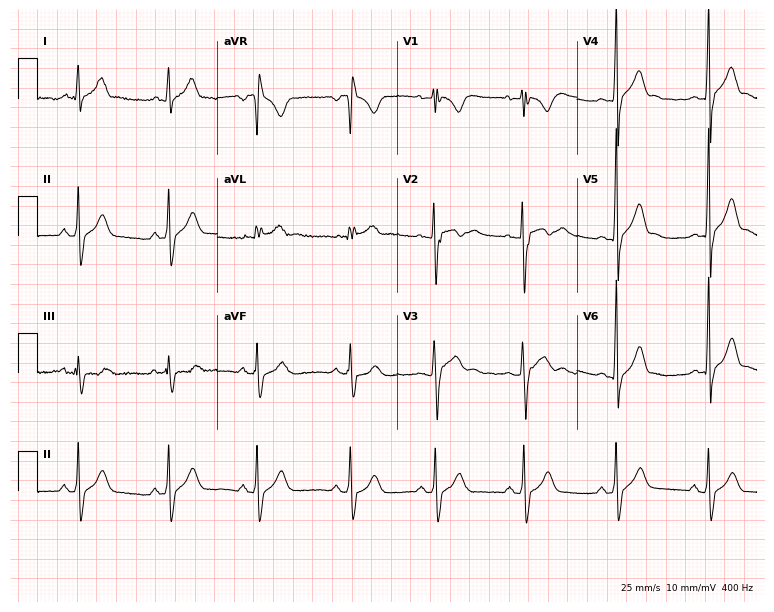
12-lead ECG from an 18-year-old male. Labelled as a normal ECG.